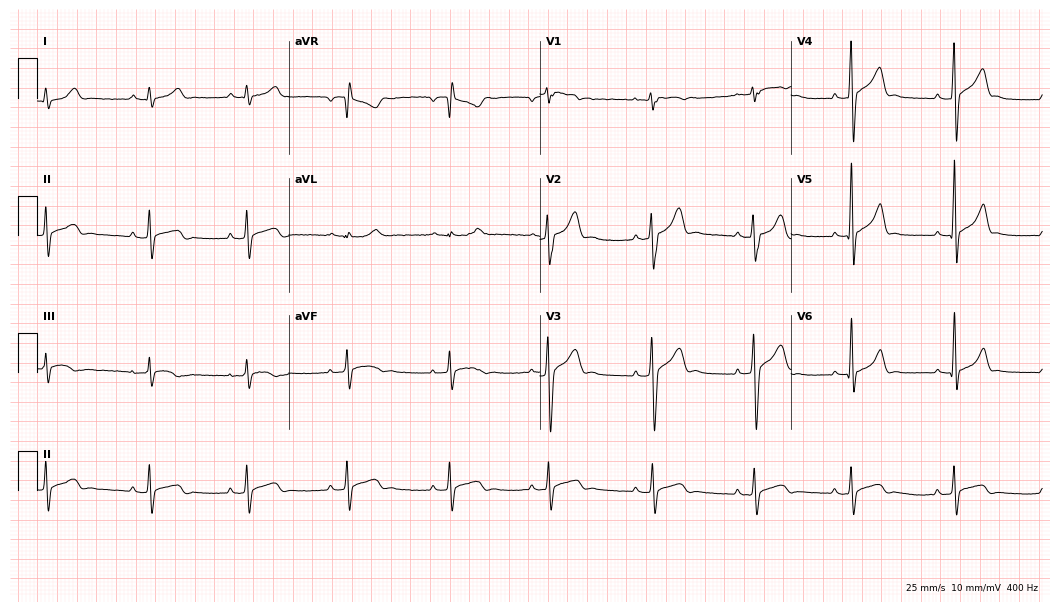
Standard 12-lead ECG recorded from a 33-year-old man (10.2-second recording at 400 Hz). Read as a normal ECG.